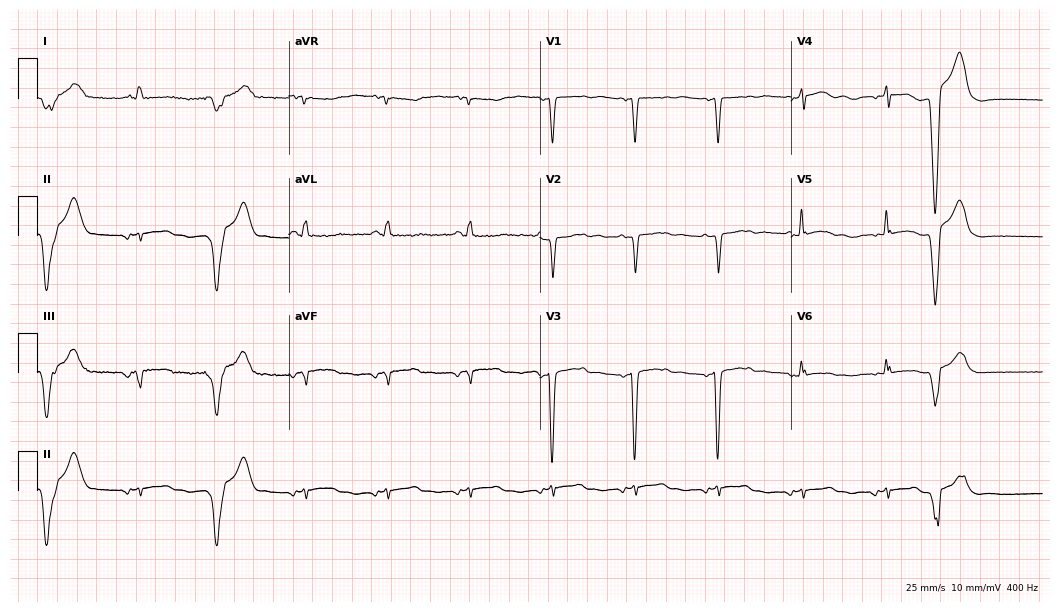
ECG (10.2-second recording at 400 Hz) — a woman, 30 years old. Screened for six findings — first-degree AV block, right bundle branch block, left bundle branch block, sinus bradycardia, atrial fibrillation, sinus tachycardia — none is recorded.